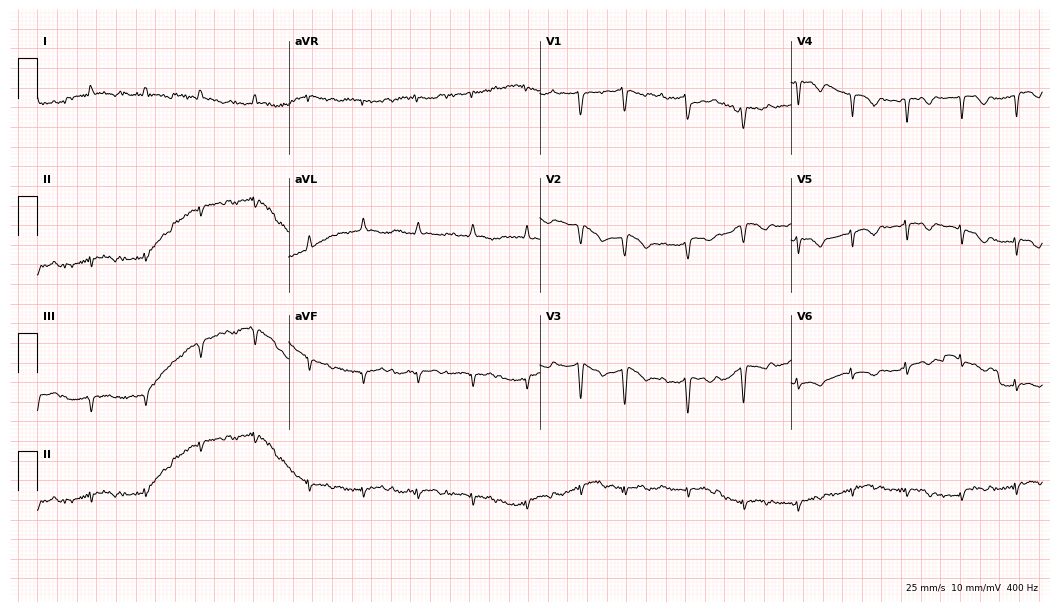
Standard 12-lead ECG recorded from an 85-year-old woman (10.2-second recording at 400 Hz). None of these six findings is recorded: first-degree AV block, right bundle branch block (RBBB), left bundle branch block (LBBB), sinus bradycardia, atrial fibrillation (AF), sinus tachycardia. Other findings, if any, are not listed.